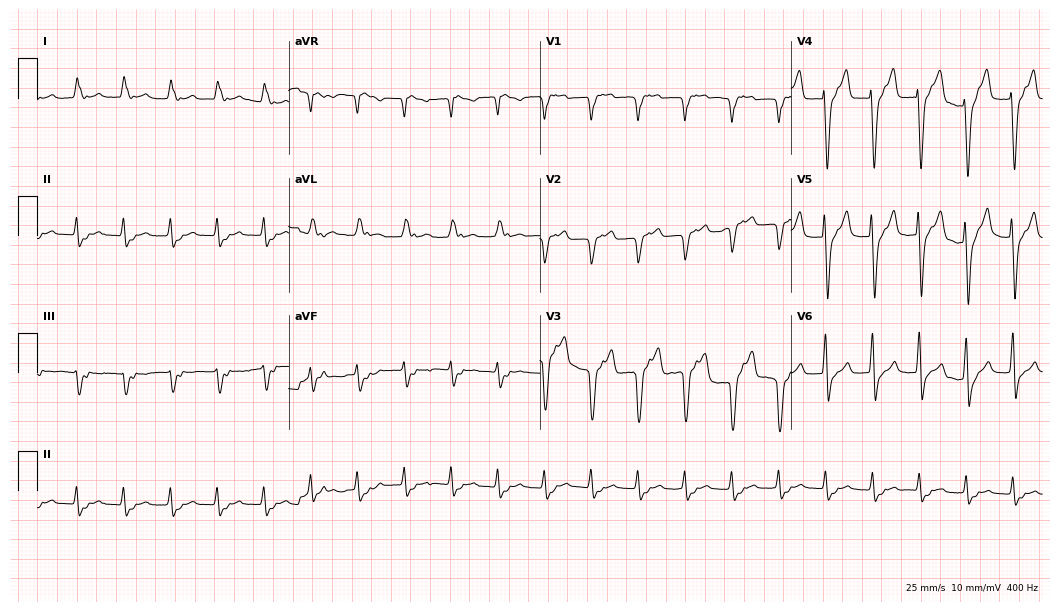
12-lead ECG from a male, 79 years old. Screened for six findings — first-degree AV block, right bundle branch block (RBBB), left bundle branch block (LBBB), sinus bradycardia, atrial fibrillation (AF), sinus tachycardia — none is recorded. Other findings, if any, are not listed.